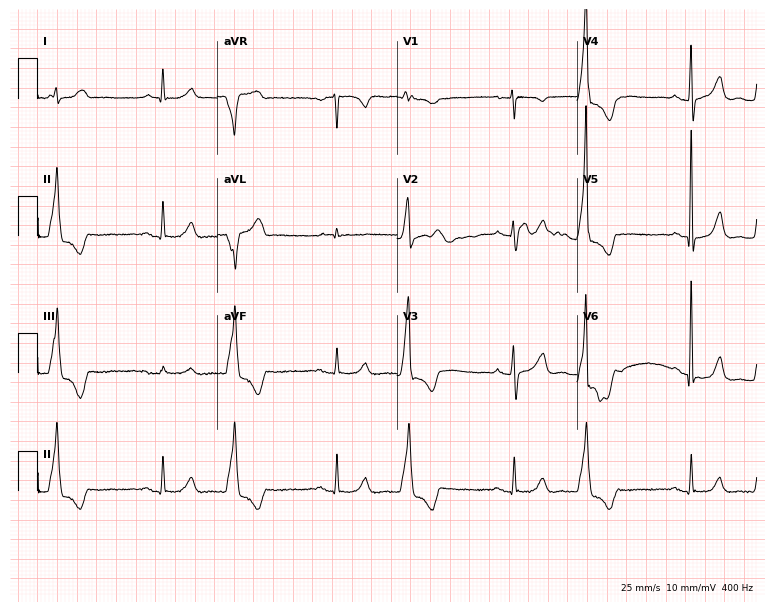
Resting 12-lead electrocardiogram (7.3-second recording at 400 Hz). Patient: a male, 85 years old. None of these six findings is recorded: first-degree AV block, right bundle branch block, left bundle branch block, sinus bradycardia, atrial fibrillation, sinus tachycardia. Other findings, if any, are not listed.